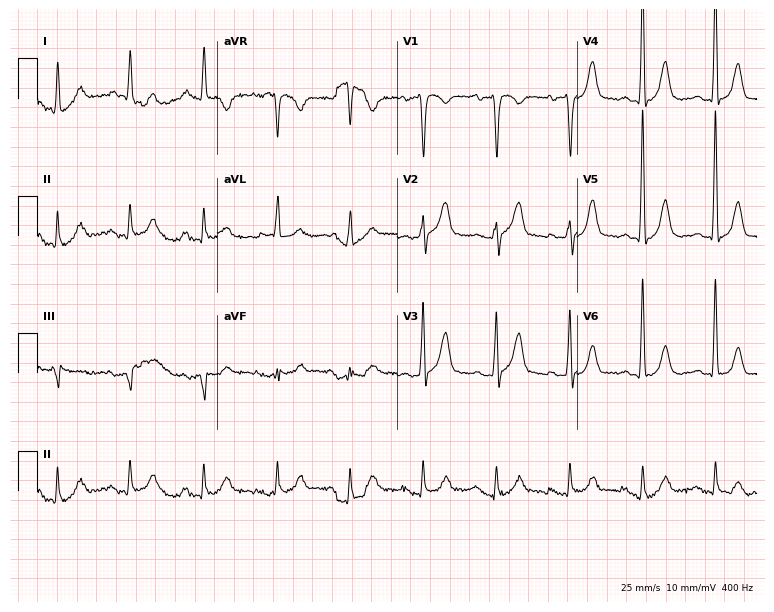
Electrocardiogram, a 76-year-old male. Of the six screened findings (first-degree AV block, right bundle branch block, left bundle branch block, sinus bradycardia, atrial fibrillation, sinus tachycardia), none is recorded.